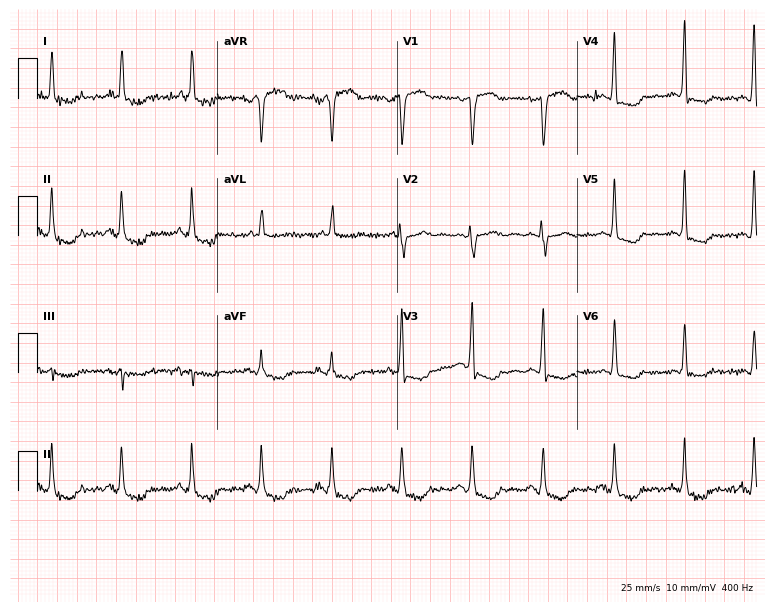
ECG — a 72-year-old woman. Screened for six findings — first-degree AV block, right bundle branch block, left bundle branch block, sinus bradycardia, atrial fibrillation, sinus tachycardia — none is recorded.